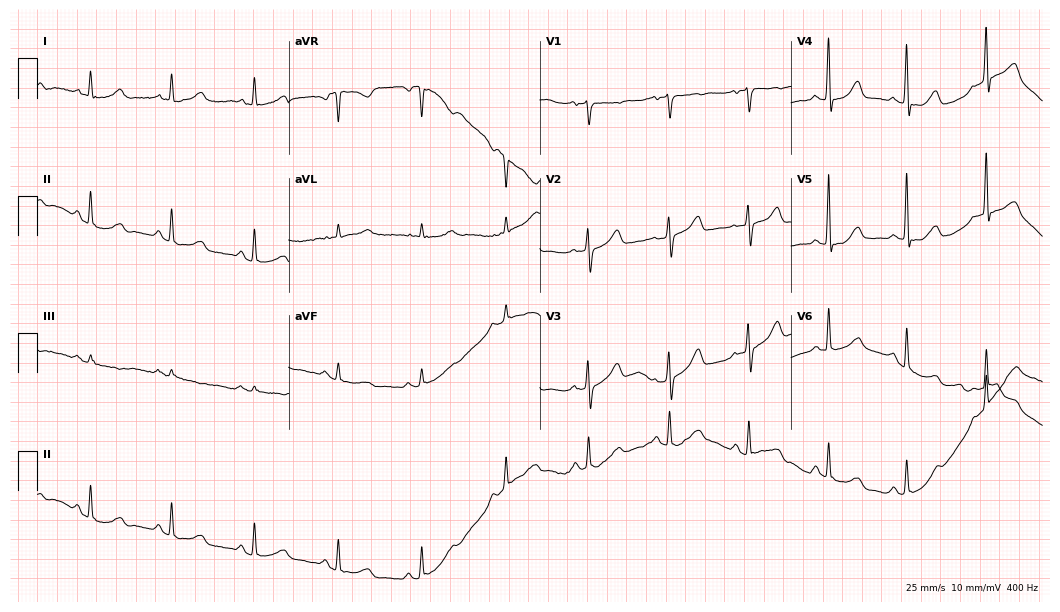
12-lead ECG from a 67-year-old female patient (10.2-second recording at 400 Hz). Recorded interpretation: within normal limits.